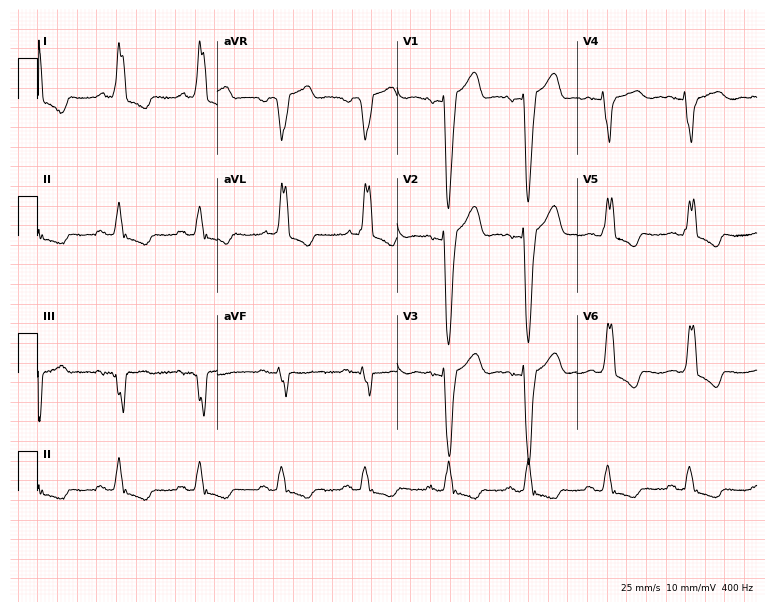
Standard 12-lead ECG recorded from a 66-year-old female patient (7.3-second recording at 400 Hz). The tracing shows left bundle branch block.